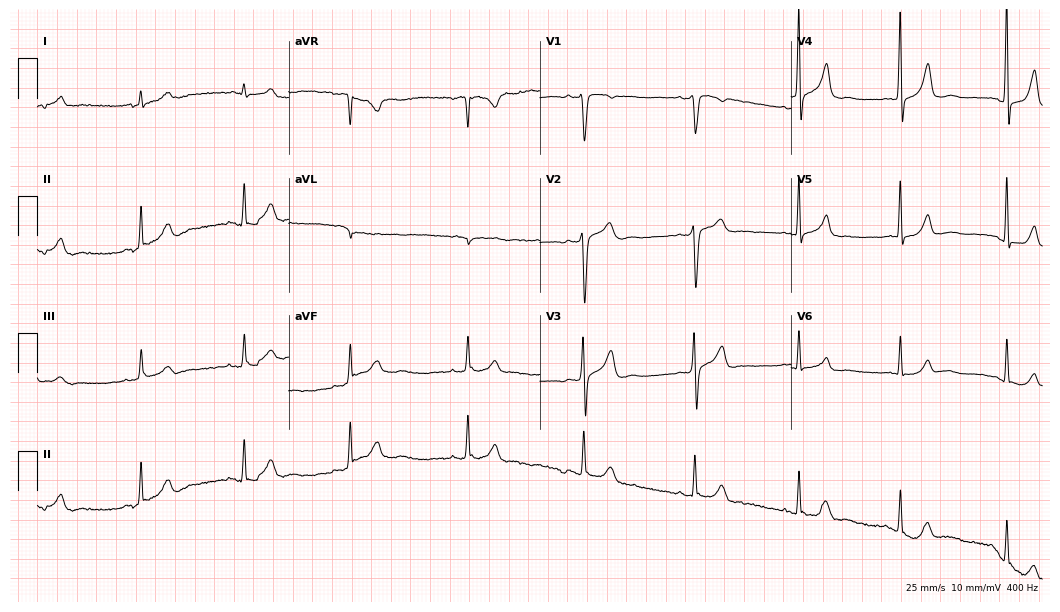
12-lead ECG (10.2-second recording at 400 Hz) from a male, 53 years old. Labelled as a normal ECG.